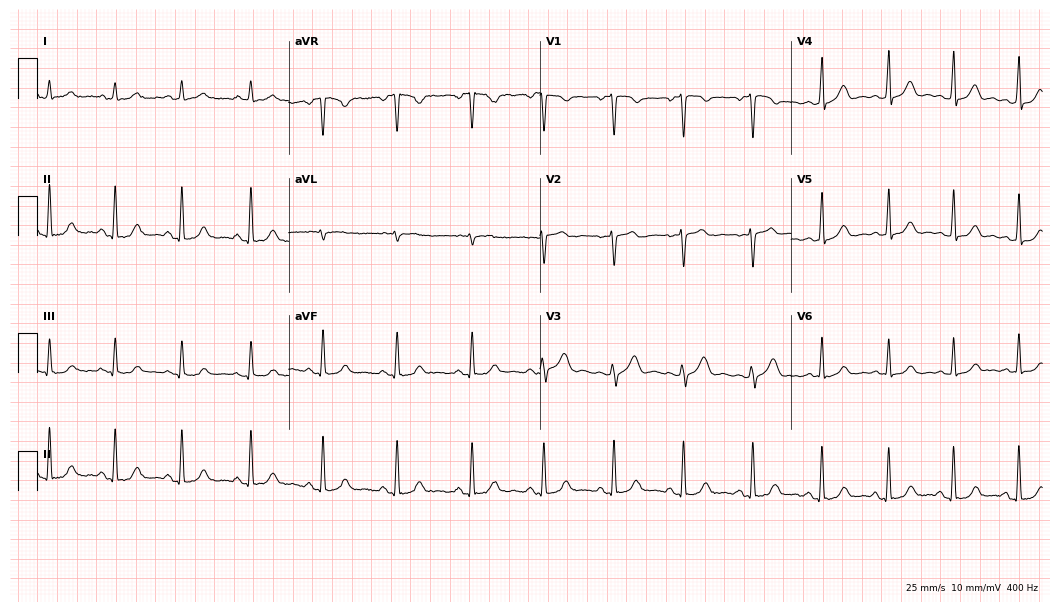
ECG (10.2-second recording at 400 Hz) — a 43-year-old female patient. Labelled as a normal ECG.